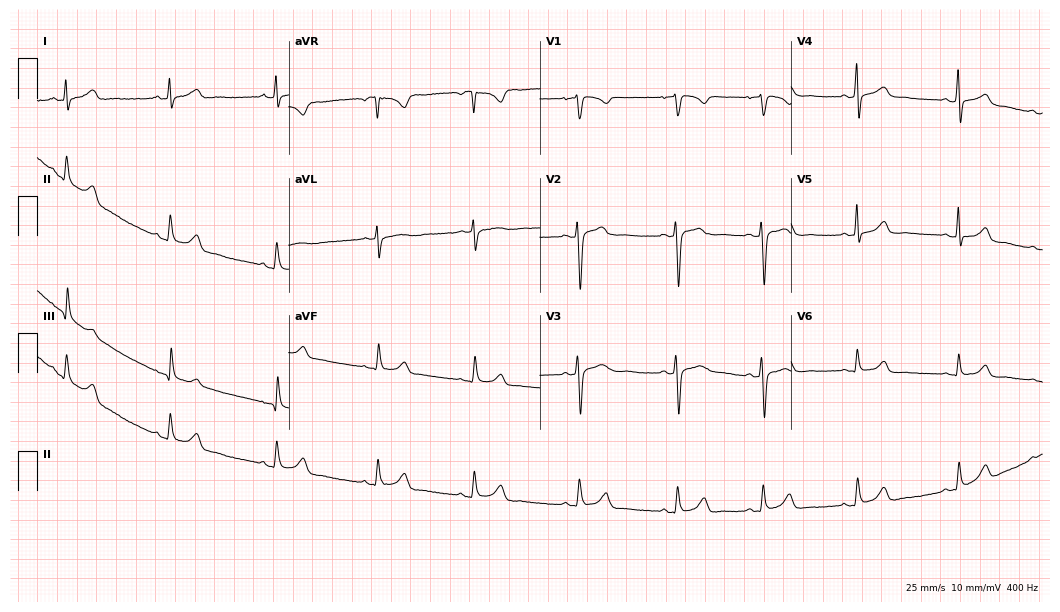
Standard 12-lead ECG recorded from an 18-year-old woman. Read as a normal ECG.